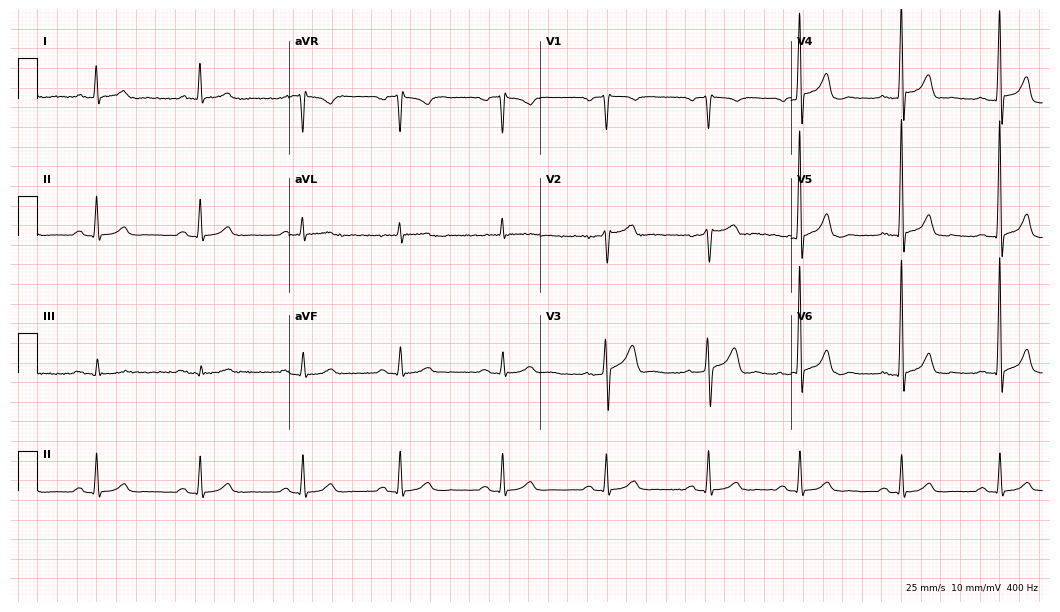
Electrocardiogram, a male patient, 62 years old. Overall reading on record: normal ECG.